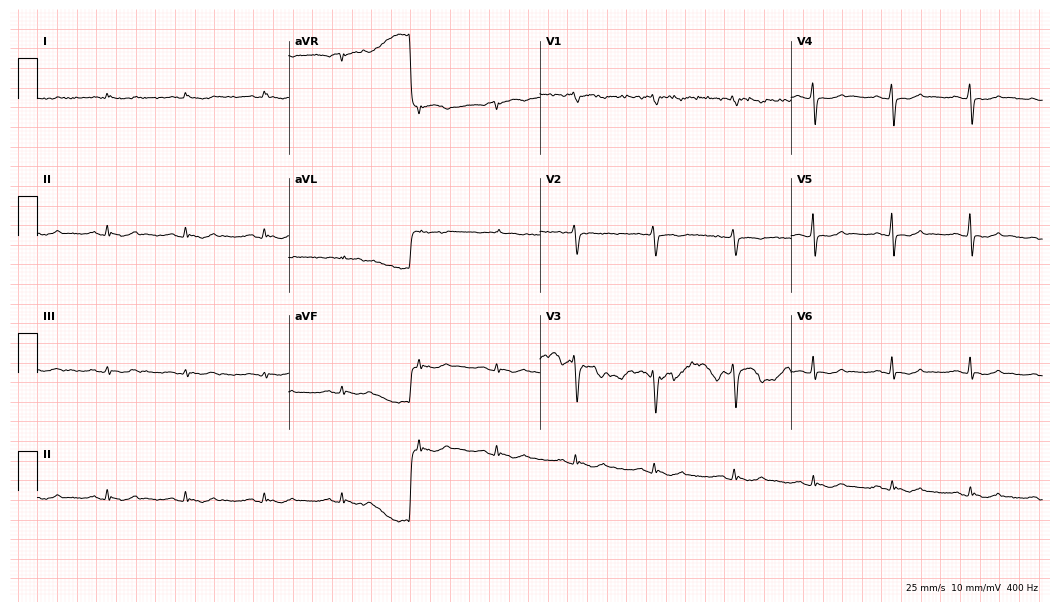
Standard 12-lead ECG recorded from a 65-year-old female patient (10.2-second recording at 400 Hz). None of these six findings is recorded: first-degree AV block, right bundle branch block (RBBB), left bundle branch block (LBBB), sinus bradycardia, atrial fibrillation (AF), sinus tachycardia. Findings outside these six are not listed.